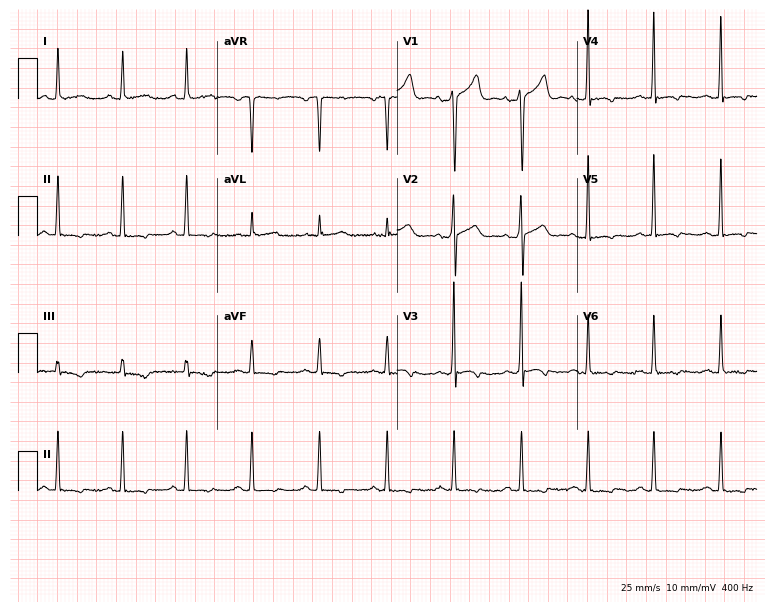
Standard 12-lead ECG recorded from a male, 42 years old. None of these six findings is recorded: first-degree AV block, right bundle branch block (RBBB), left bundle branch block (LBBB), sinus bradycardia, atrial fibrillation (AF), sinus tachycardia. Findings outside these six are not listed.